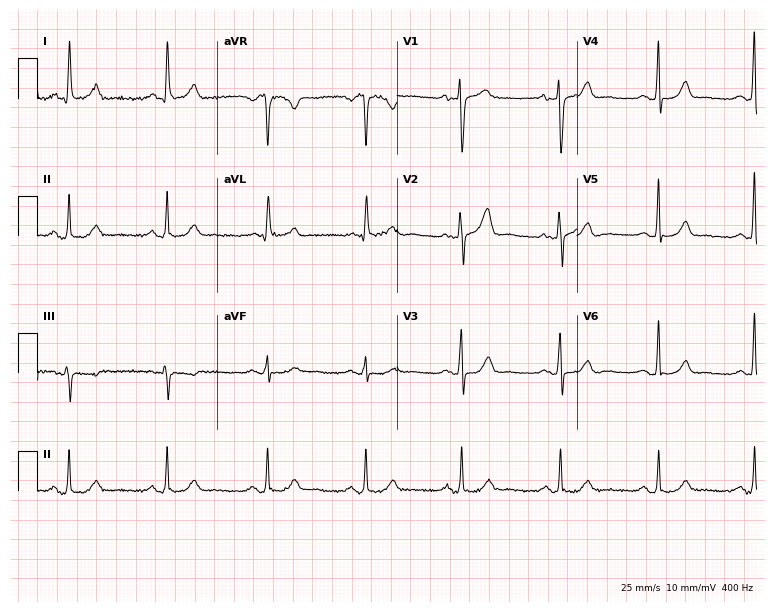
Electrocardiogram (7.3-second recording at 400 Hz), a 59-year-old female. Overall reading on record: normal ECG.